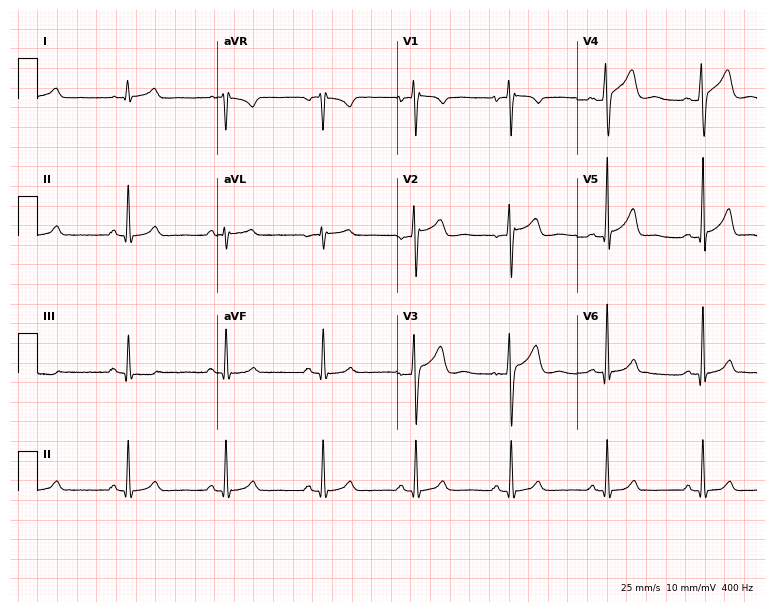
Resting 12-lead electrocardiogram (7.3-second recording at 400 Hz). Patient: a 29-year-old male. Read as a normal ECG.